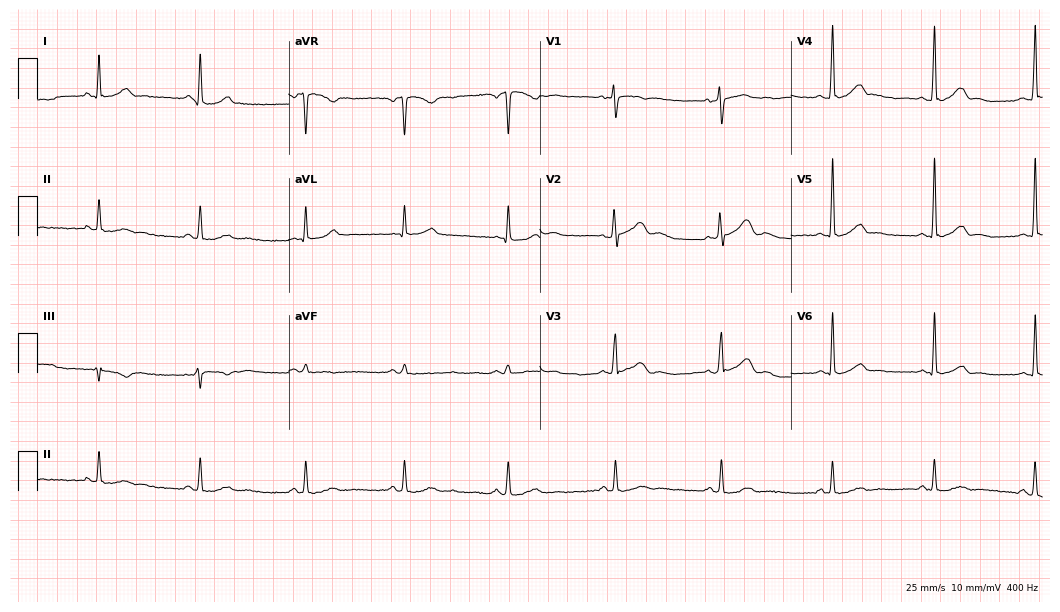
Electrocardiogram, a female patient, 36 years old. Of the six screened findings (first-degree AV block, right bundle branch block, left bundle branch block, sinus bradycardia, atrial fibrillation, sinus tachycardia), none is recorded. Findings outside these six are not listed.